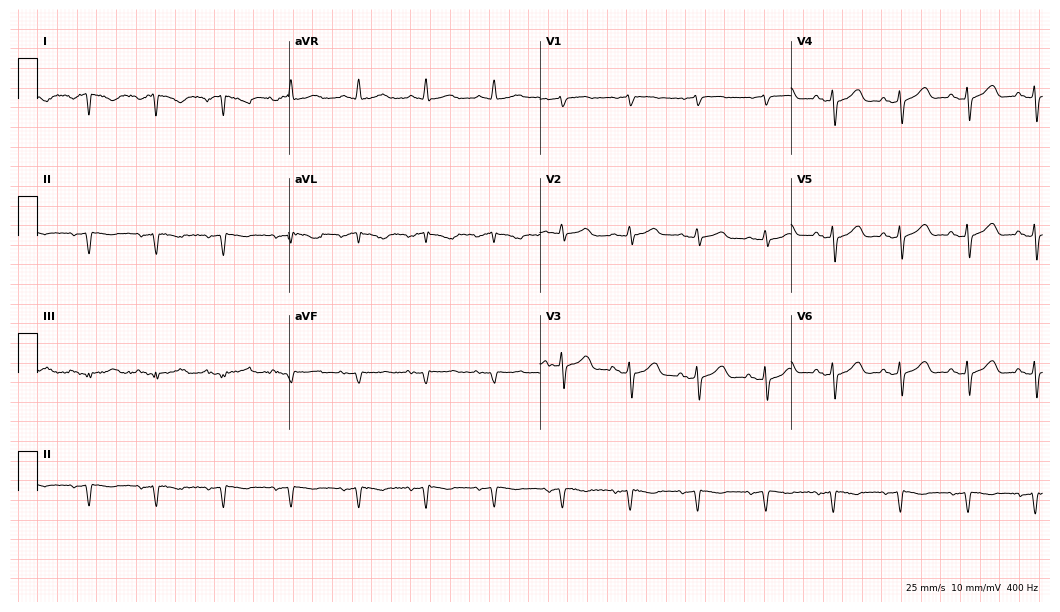
ECG — a male patient, 77 years old. Screened for six findings — first-degree AV block, right bundle branch block, left bundle branch block, sinus bradycardia, atrial fibrillation, sinus tachycardia — none is recorded. Findings outside these six are not listed.